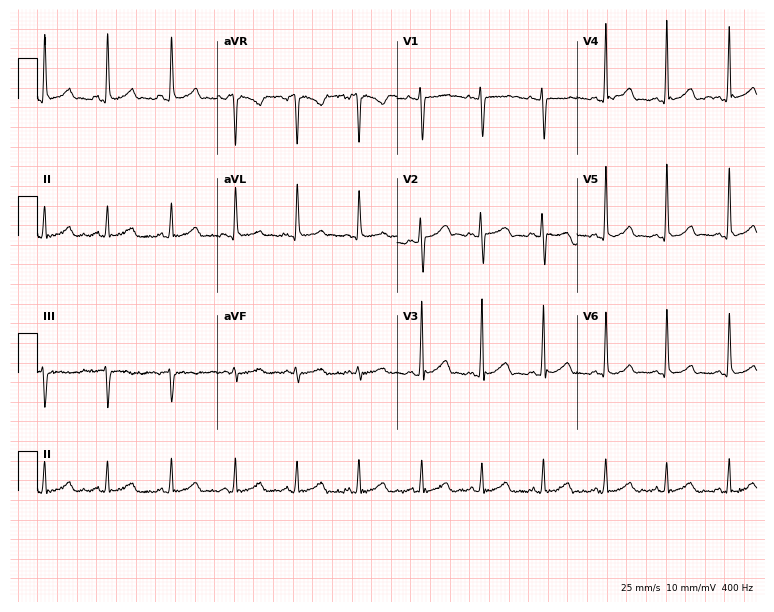
Resting 12-lead electrocardiogram. Patient: a woman, 22 years old. None of these six findings is recorded: first-degree AV block, right bundle branch block (RBBB), left bundle branch block (LBBB), sinus bradycardia, atrial fibrillation (AF), sinus tachycardia.